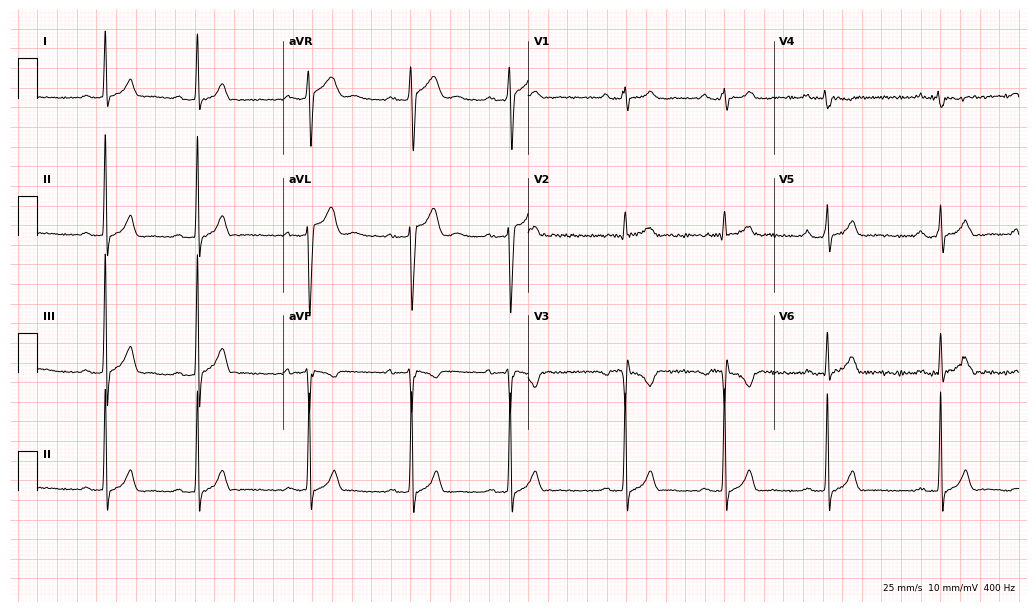
12-lead ECG from a man, 29 years old. No first-degree AV block, right bundle branch block, left bundle branch block, sinus bradycardia, atrial fibrillation or sinus tachycardia recorded for this tracing.